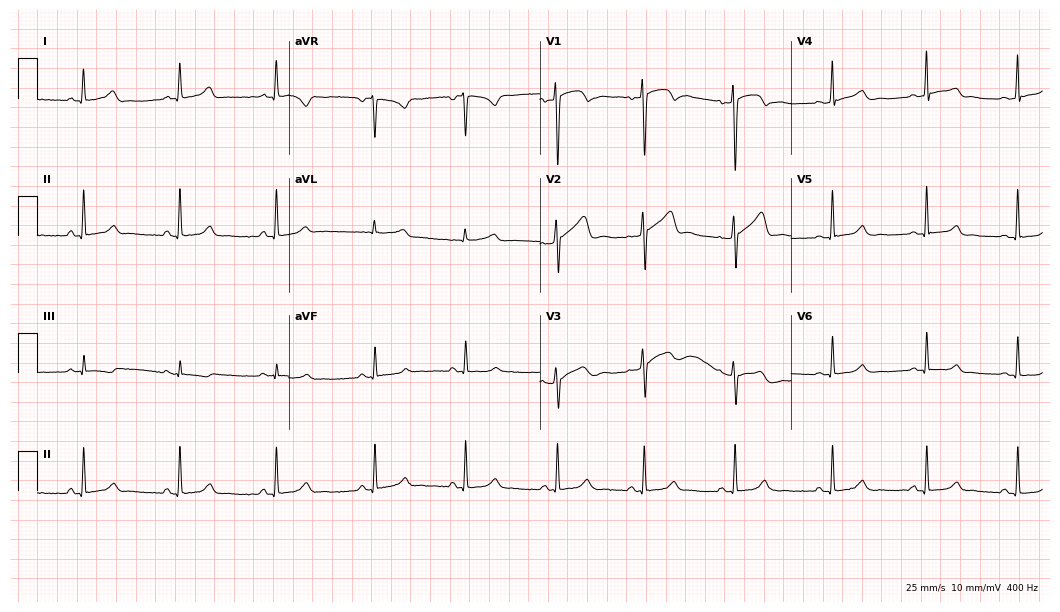
12-lead ECG (10.2-second recording at 400 Hz) from a 39-year-old female patient. Screened for six findings — first-degree AV block, right bundle branch block, left bundle branch block, sinus bradycardia, atrial fibrillation, sinus tachycardia — none is recorded. Only these six findings were labelled.